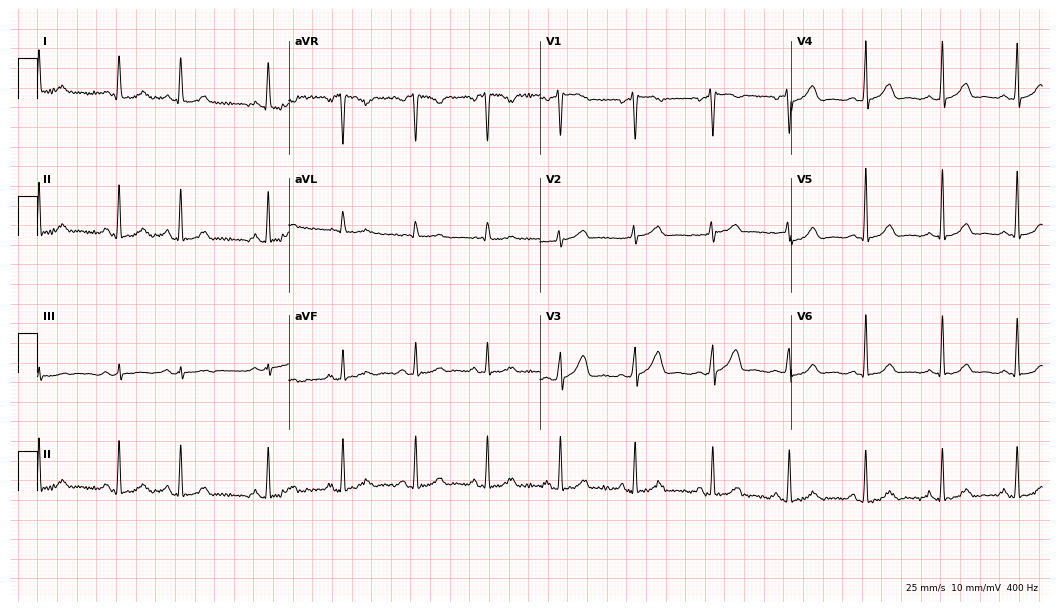
ECG — a 48-year-old female. Screened for six findings — first-degree AV block, right bundle branch block, left bundle branch block, sinus bradycardia, atrial fibrillation, sinus tachycardia — none is recorded.